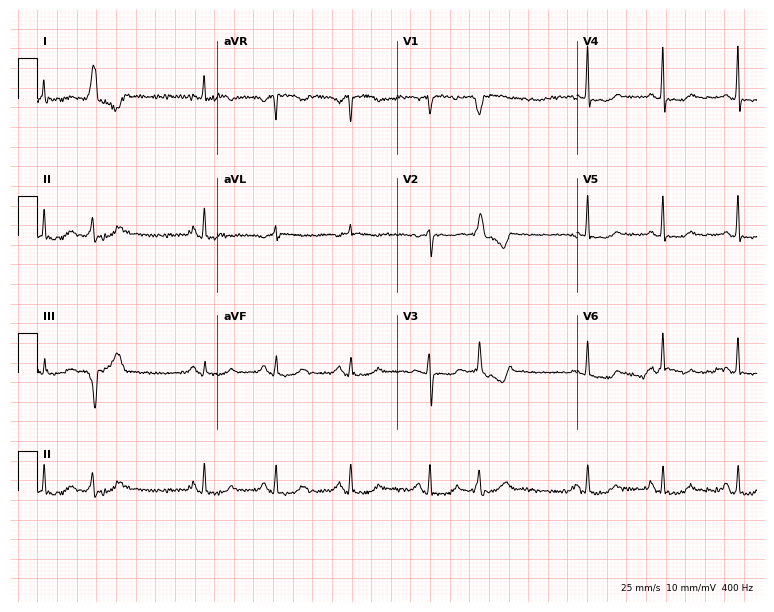
Electrocardiogram (7.3-second recording at 400 Hz), a female, 69 years old. Of the six screened findings (first-degree AV block, right bundle branch block, left bundle branch block, sinus bradycardia, atrial fibrillation, sinus tachycardia), none is recorded. Other findings, if any, are not listed.